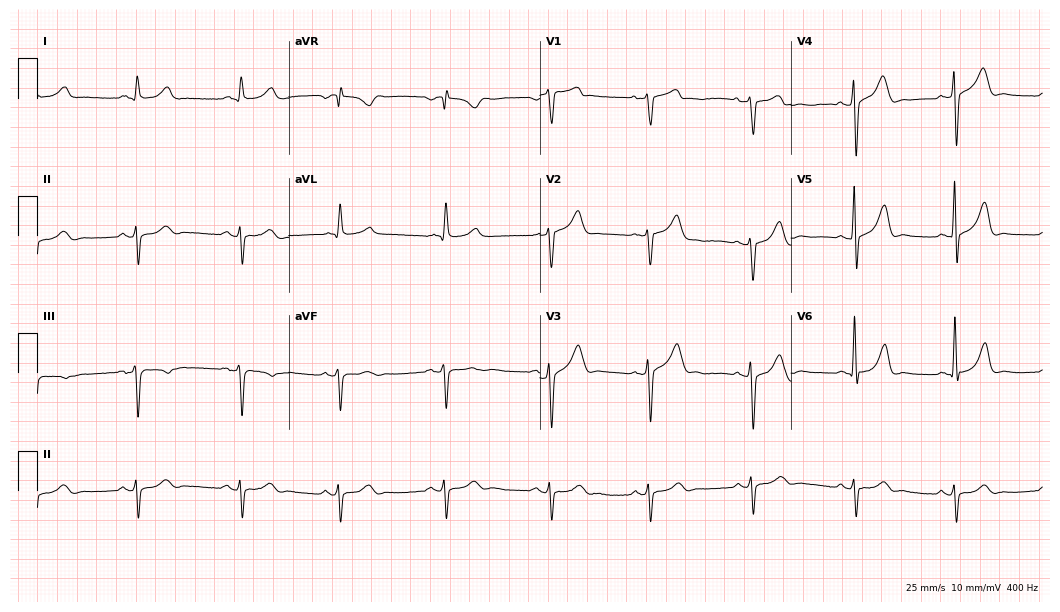
12-lead ECG from a man, 67 years old. No first-degree AV block, right bundle branch block (RBBB), left bundle branch block (LBBB), sinus bradycardia, atrial fibrillation (AF) or sinus tachycardia recorded for this tracing. Findings outside these six are not listed.